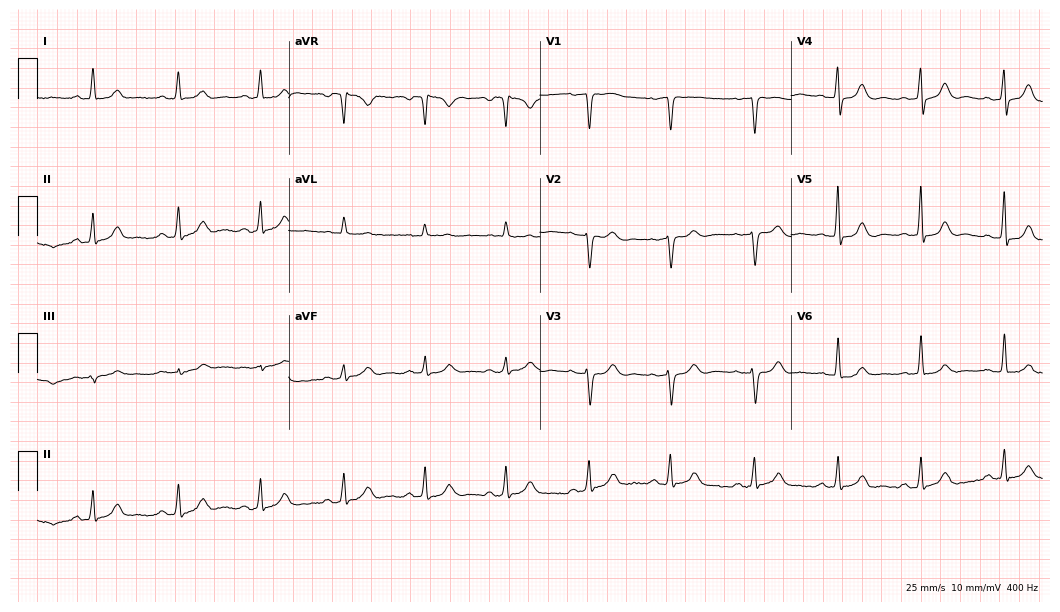
Standard 12-lead ECG recorded from a 54-year-old woman (10.2-second recording at 400 Hz). Read as a normal ECG.